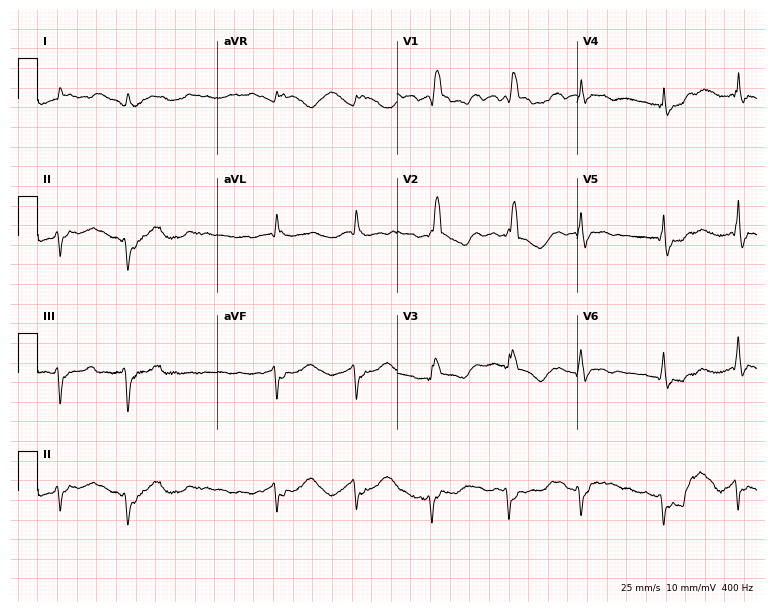
Standard 12-lead ECG recorded from a man, 69 years old (7.3-second recording at 400 Hz). The tracing shows right bundle branch block, atrial fibrillation.